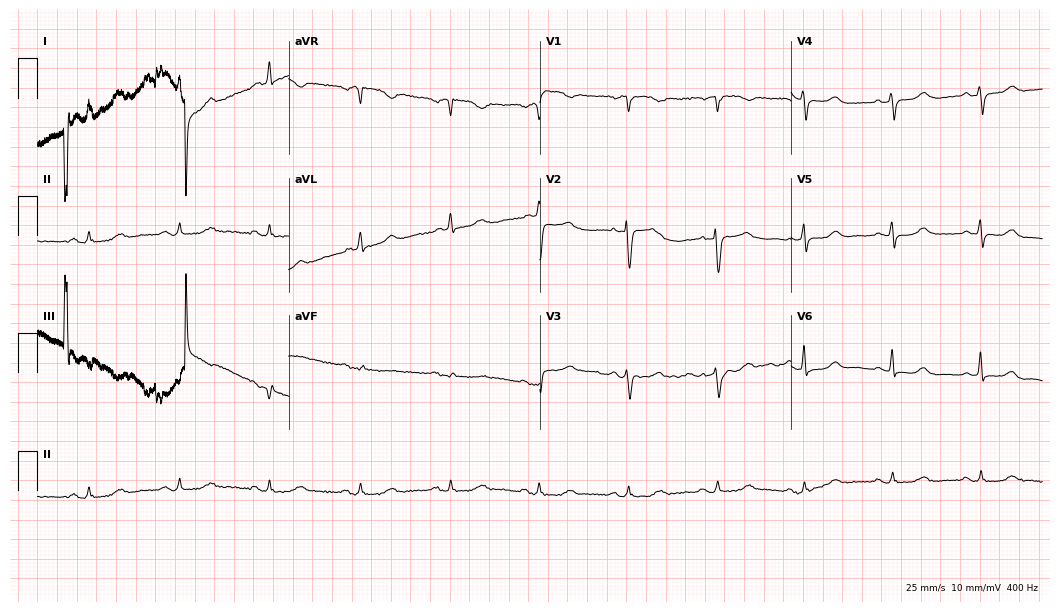
Resting 12-lead electrocardiogram (10.2-second recording at 400 Hz). Patient: an 80-year-old woman. None of these six findings is recorded: first-degree AV block, right bundle branch block (RBBB), left bundle branch block (LBBB), sinus bradycardia, atrial fibrillation (AF), sinus tachycardia. Findings outside these six are not listed.